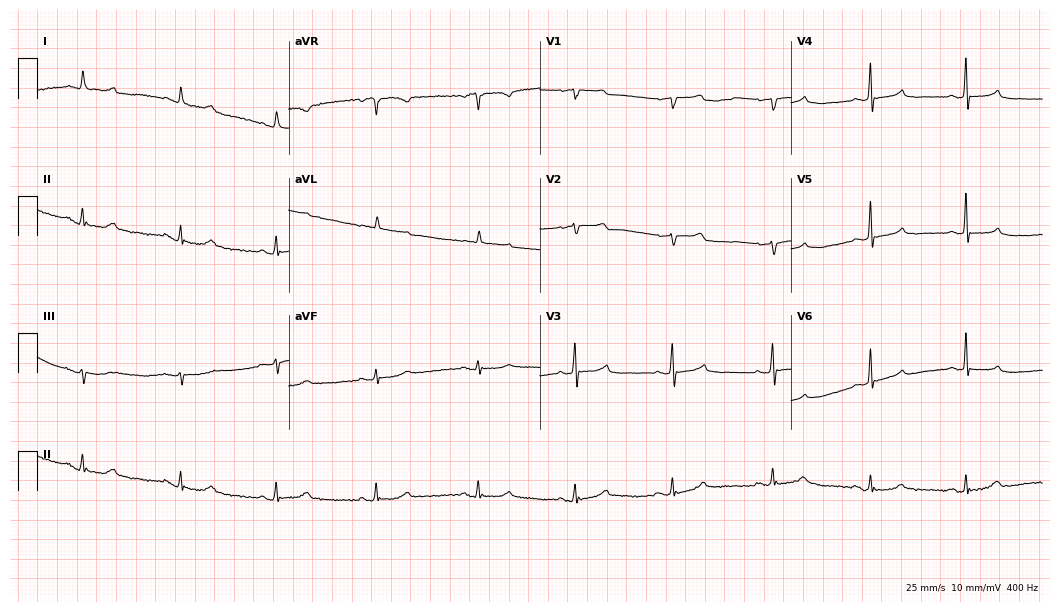
Standard 12-lead ECG recorded from a female patient, 48 years old (10.2-second recording at 400 Hz). Read as a normal ECG.